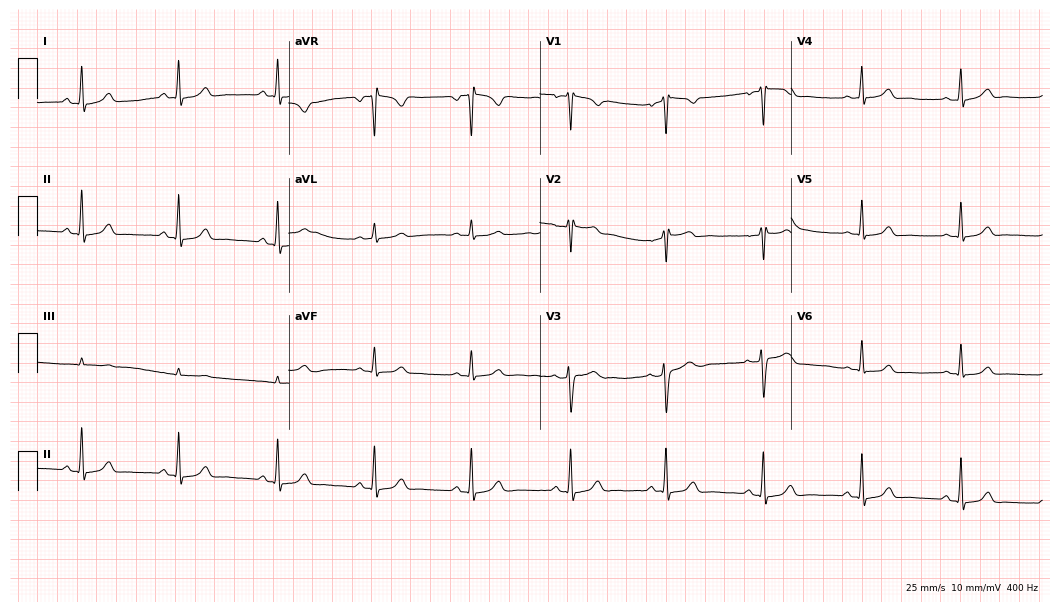
ECG — a 29-year-old female patient. Labelled as a normal ECG.